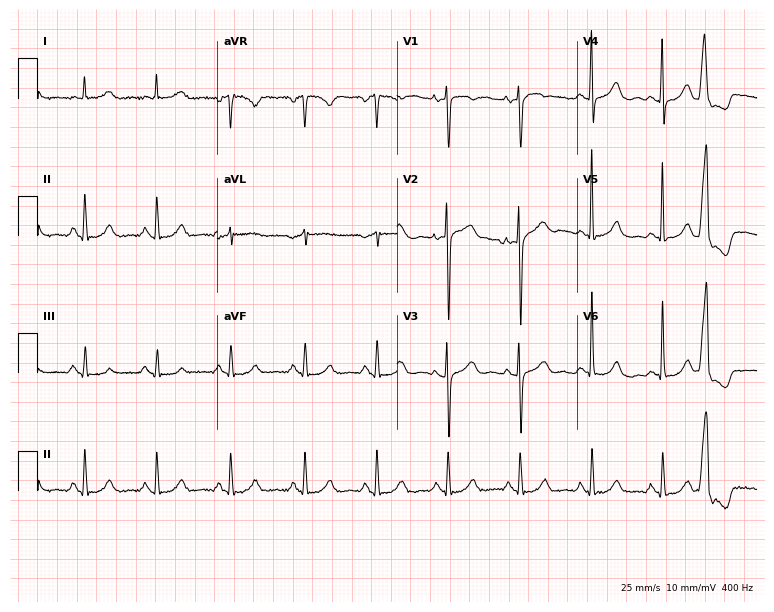
12-lead ECG from a female, 73 years old (7.3-second recording at 400 Hz). No first-degree AV block, right bundle branch block, left bundle branch block, sinus bradycardia, atrial fibrillation or sinus tachycardia recorded for this tracing.